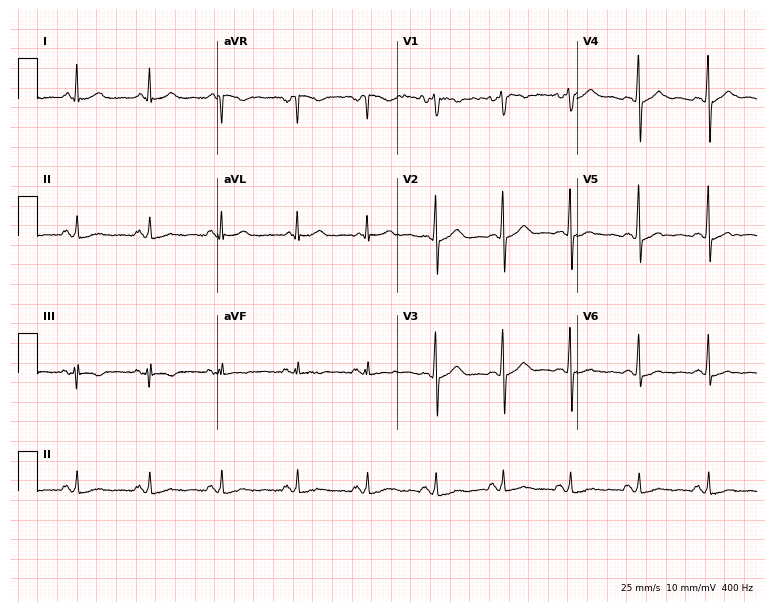
Electrocardiogram (7.3-second recording at 400 Hz), a 44-year-old female patient. Of the six screened findings (first-degree AV block, right bundle branch block, left bundle branch block, sinus bradycardia, atrial fibrillation, sinus tachycardia), none is recorded. Other findings, if any, are not listed.